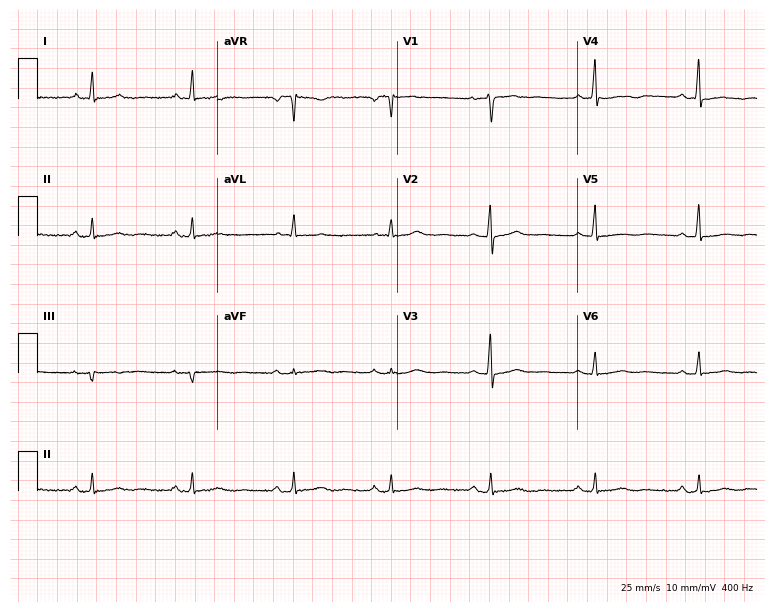
Standard 12-lead ECG recorded from a 56-year-old woman. None of these six findings is recorded: first-degree AV block, right bundle branch block, left bundle branch block, sinus bradycardia, atrial fibrillation, sinus tachycardia.